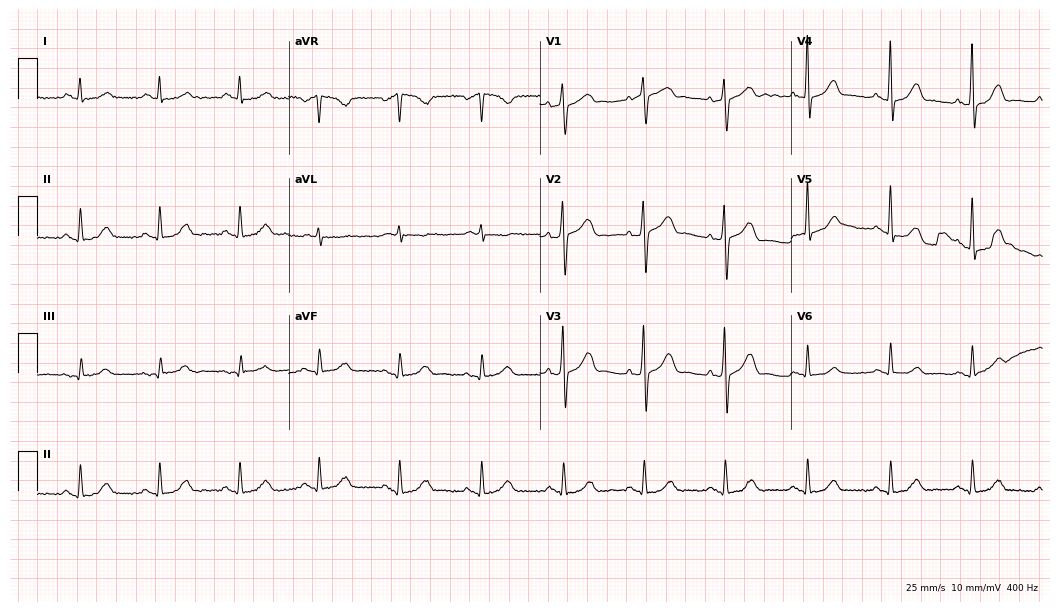
12-lead ECG from a 46-year-old man. Recorded interpretation: within normal limits.